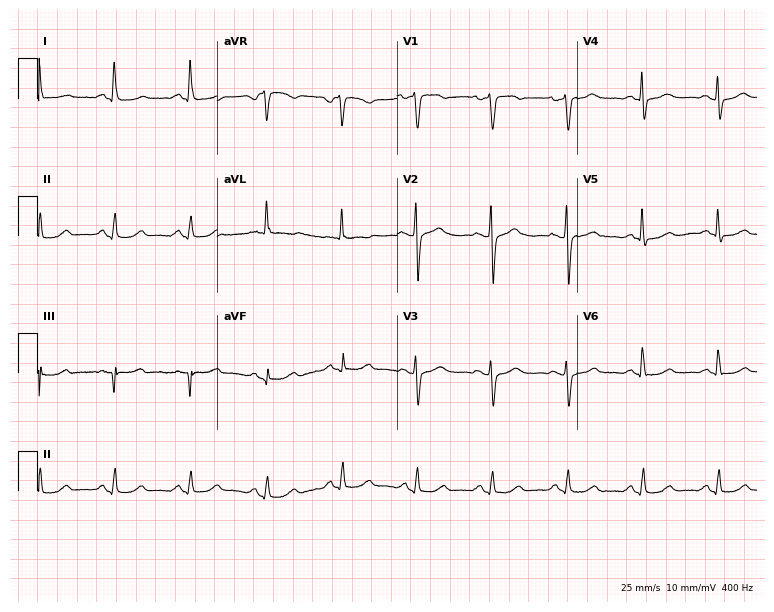
Electrocardiogram (7.3-second recording at 400 Hz), a woman, 64 years old. Overall reading on record: normal ECG.